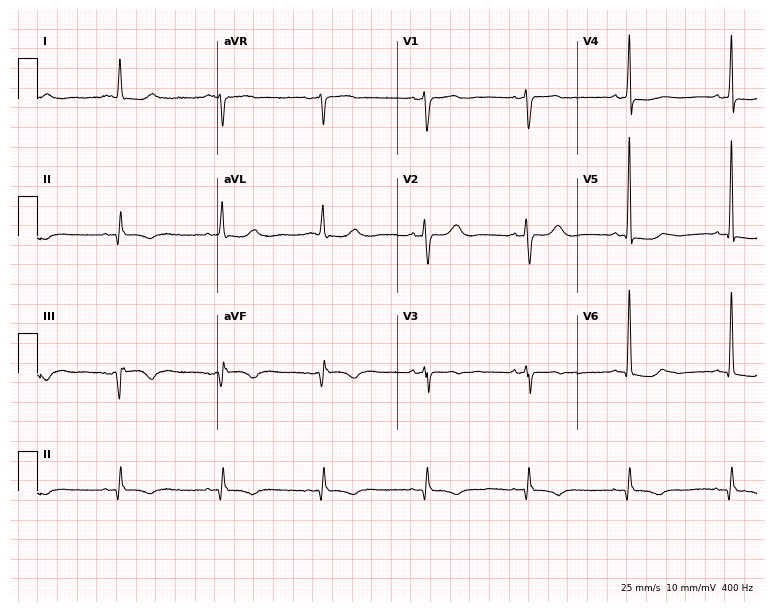
ECG (7.3-second recording at 400 Hz) — a man, 76 years old. Screened for six findings — first-degree AV block, right bundle branch block, left bundle branch block, sinus bradycardia, atrial fibrillation, sinus tachycardia — none is recorded.